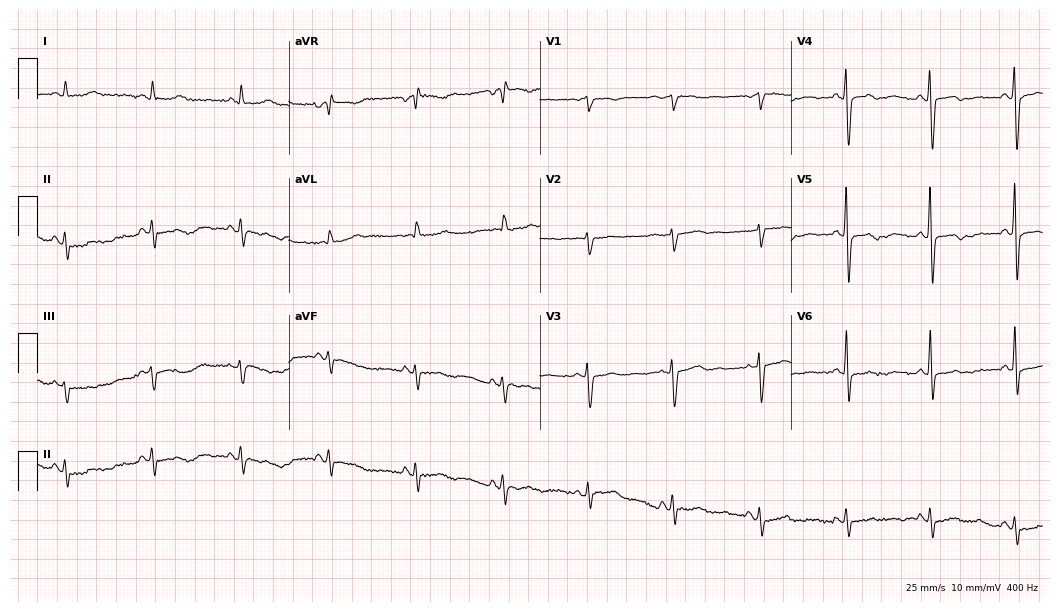
12-lead ECG from a female, 66 years old. Screened for six findings — first-degree AV block, right bundle branch block (RBBB), left bundle branch block (LBBB), sinus bradycardia, atrial fibrillation (AF), sinus tachycardia — none is recorded. Findings outside these six are not listed.